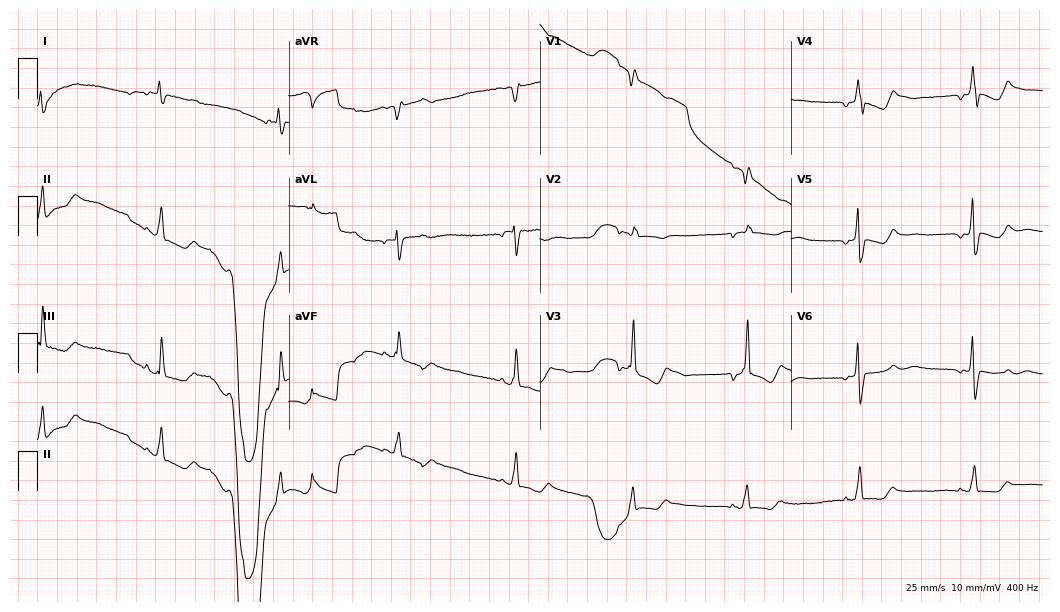
12-lead ECG from a female, 56 years old (10.2-second recording at 400 Hz). No first-degree AV block, right bundle branch block, left bundle branch block, sinus bradycardia, atrial fibrillation or sinus tachycardia recorded for this tracing. Findings outside these six are not listed.